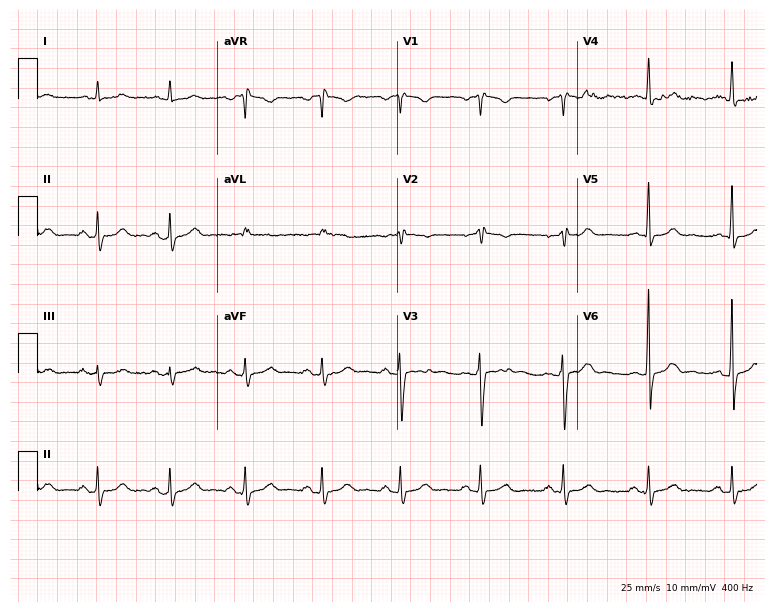
Standard 12-lead ECG recorded from a male patient, 45 years old. None of these six findings is recorded: first-degree AV block, right bundle branch block, left bundle branch block, sinus bradycardia, atrial fibrillation, sinus tachycardia. Only these six findings were labelled.